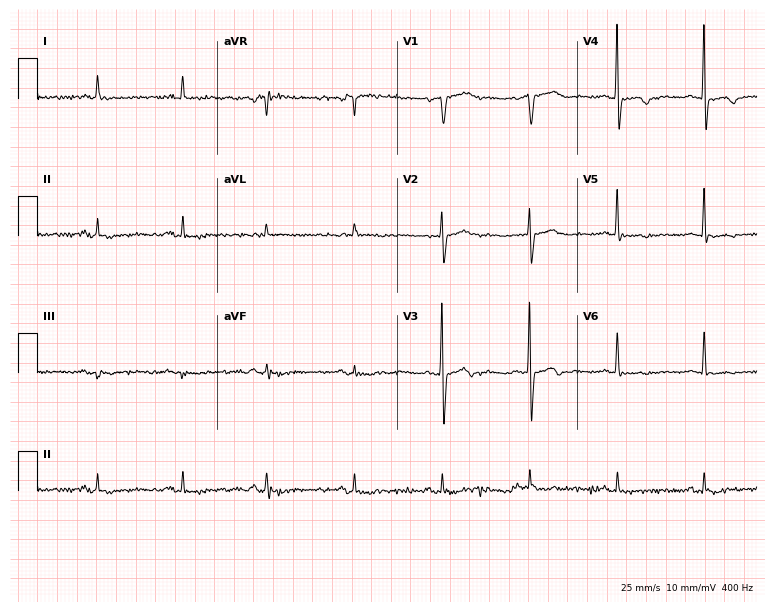
12-lead ECG from a man, 75 years old (7.3-second recording at 400 Hz). No first-degree AV block, right bundle branch block (RBBB), left bundle branch block (LBBB), sinus bradycardia, atrial fibrillation (AF) or sinus tachycardia recorded for this tracing.